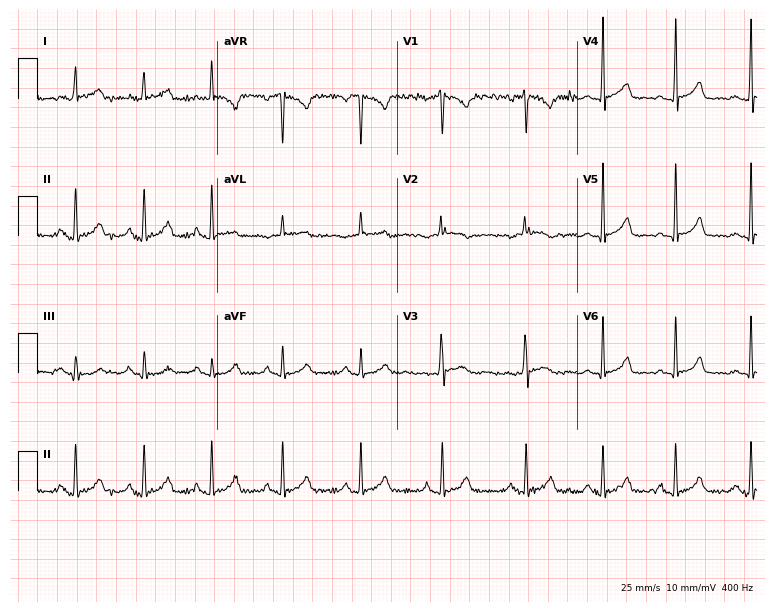
Electrocardiogram, a 25-year-old female patient. Of the six screened findings (first-degree AV block, right bundle branch block, left bundle branch block, sinus bradycardia, atrial fibrillation, sinus tachycardia), none is recorded.